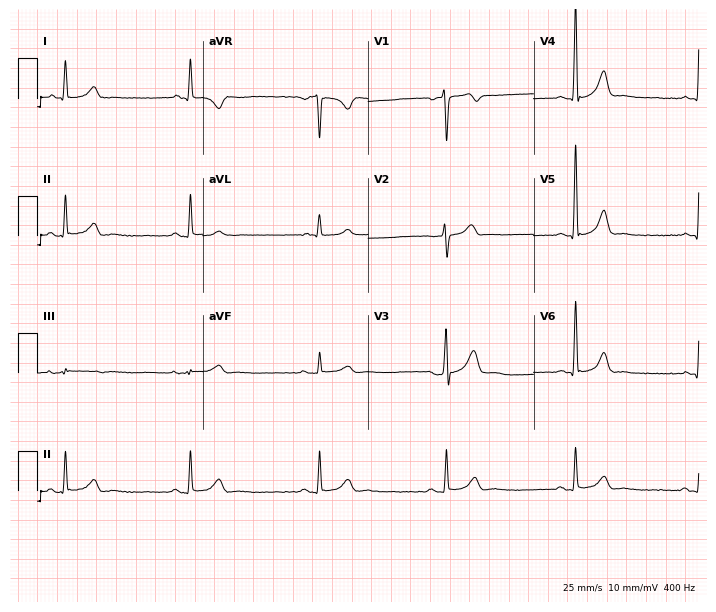
Electrocardiogram, a 35-year-old male patient. Of the six screened findings (first-degree AV block, right bundle branch block, left bundle branch block, sinus bradycardia, atrial fibrillation, sinus tachycardia), none is recorded. Findings outside these six are not listed.